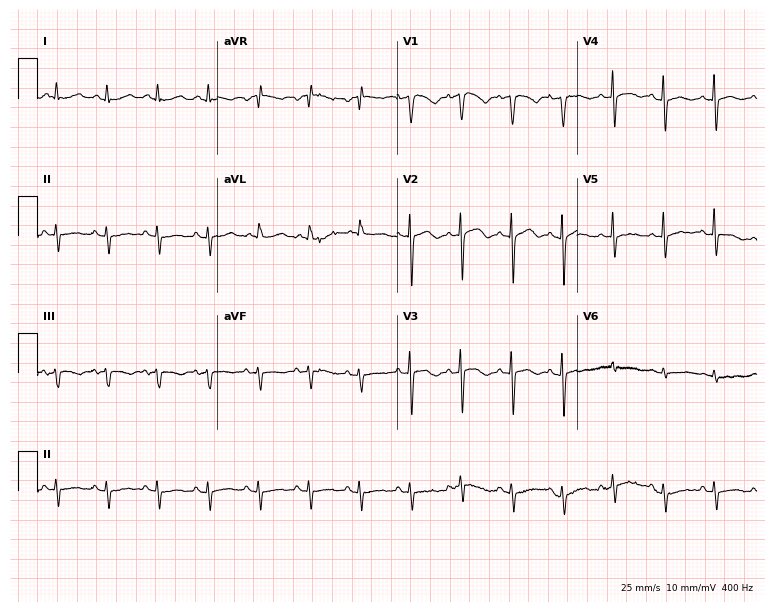
Standard 12-lead ECG recorded from an 85-year-old female patient (7.3-second recording at 400 Hz). The tracing shows sinus tachycardia (a sinus rate of 100 beats per minute or more).